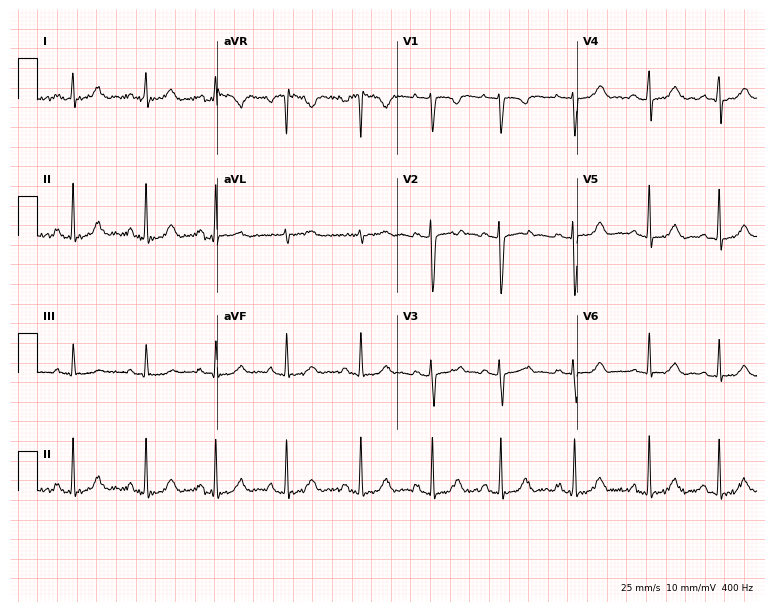
12-lead ECG (7.3-second recording at 400 Hz) from a woman, 18 years old. Screened for six findings — first-degree AV block, right bundle branch block, left bundle branch block, sinus bradycardia, atrial fibrillation, sinus tachycardia — none is recorded. Only these six findings were labelled.